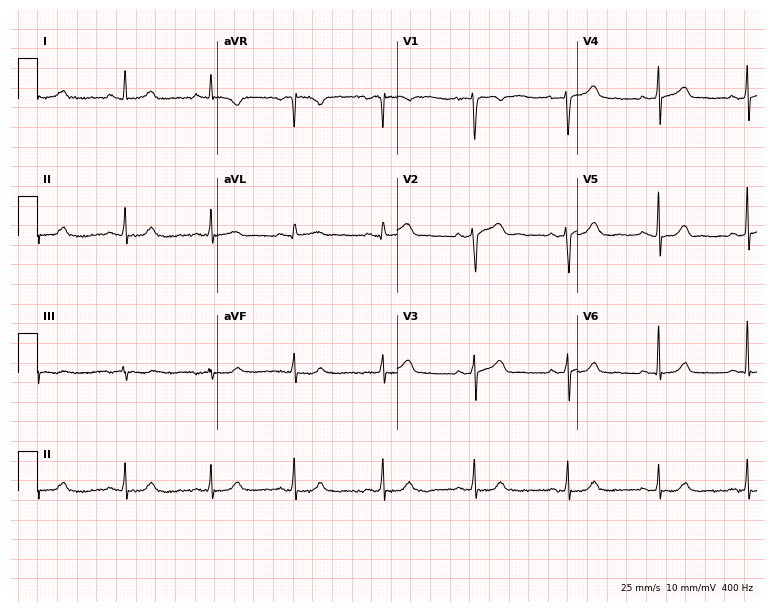
12-lead ECG from a woman, 37 years old. Labelled as a normal ECG.